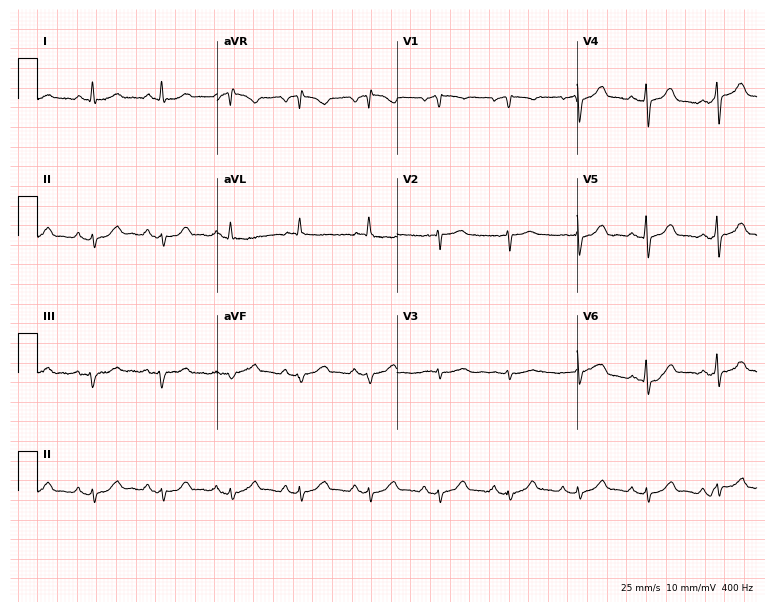
ECG (7.3-second recording at 400 Hz) — an 82-year-old man. Labelled as a normal ECG.